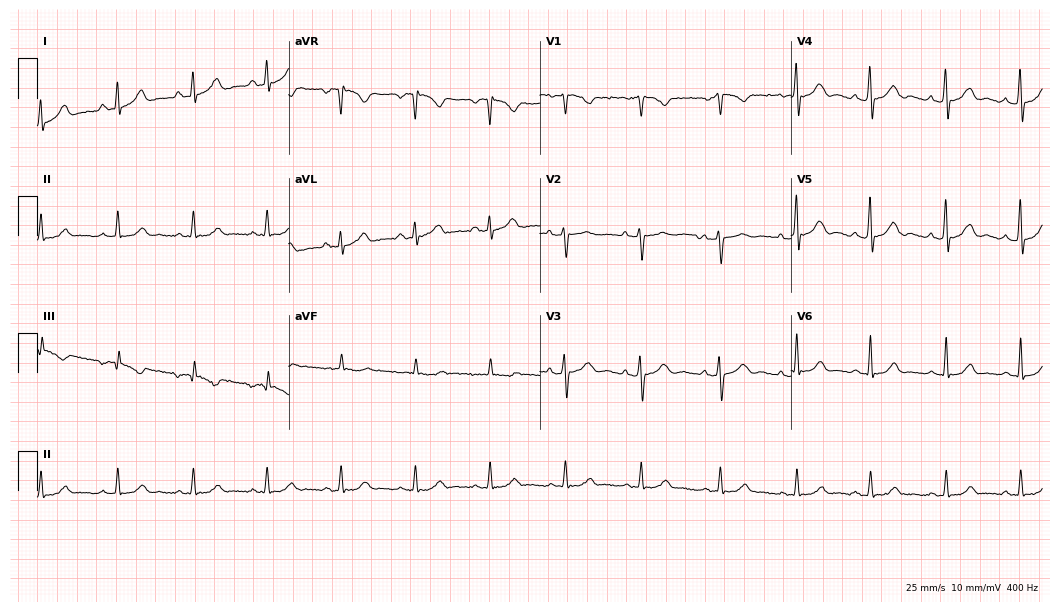
ECG — a 29-year-old woman. Labelled as a normal ECG.